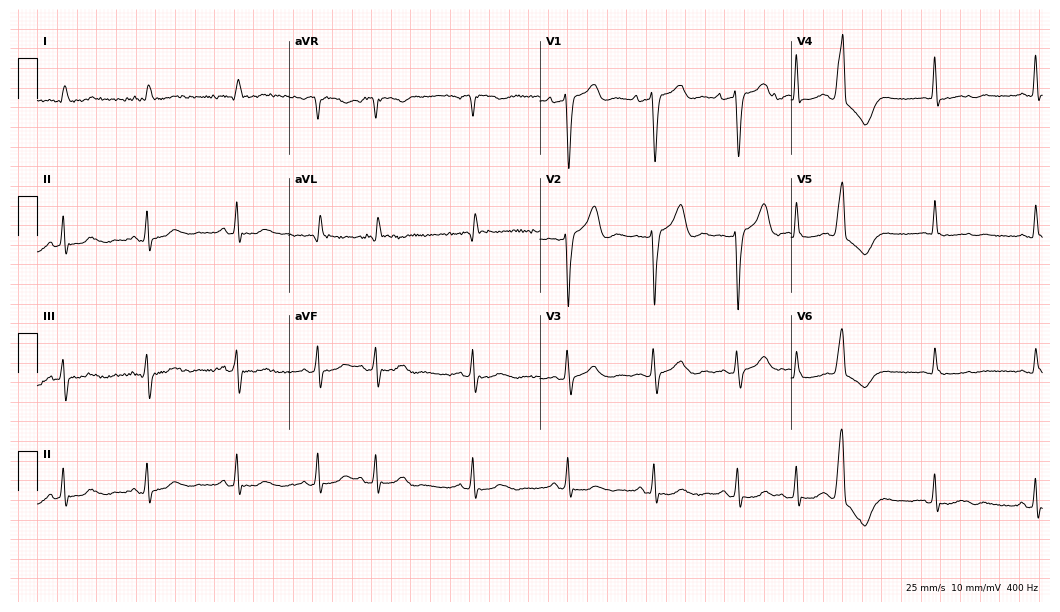
12-lead ECG from an 82-year-old male patient (10.2-second recording at 400 Hz). No first-degree AV block, right bundle branch block, left bundle branch block, sinus bradycardia, atrial fibrillation or sinus tachycardia recorded for this tracing. Findings outside these six are not listed.